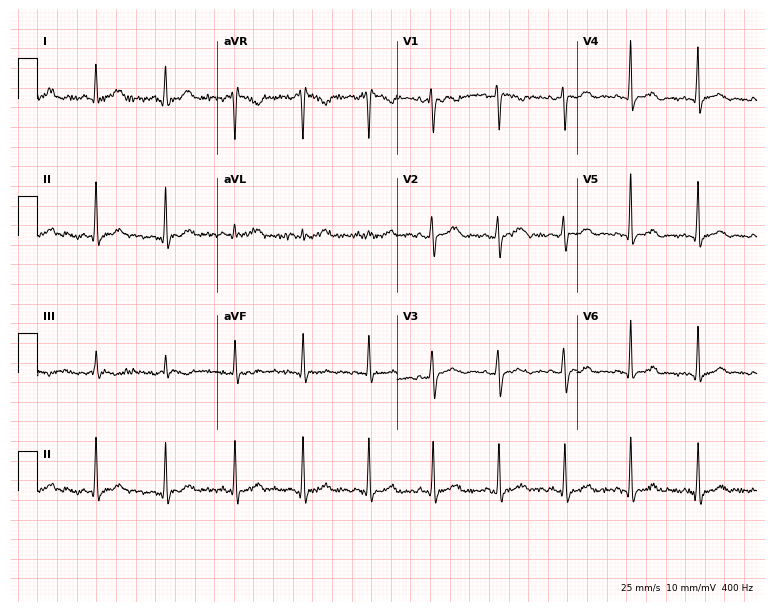
Standard 12-lead ECG recorded from a woman, 33 years old (7.3-second recording at 400 Hz). None of these six findings is recorded: first-degree AV block, right bundle branch block, left bundle branch block, sinus bradycardia, atrial fibrillation, sinus tachycardia.